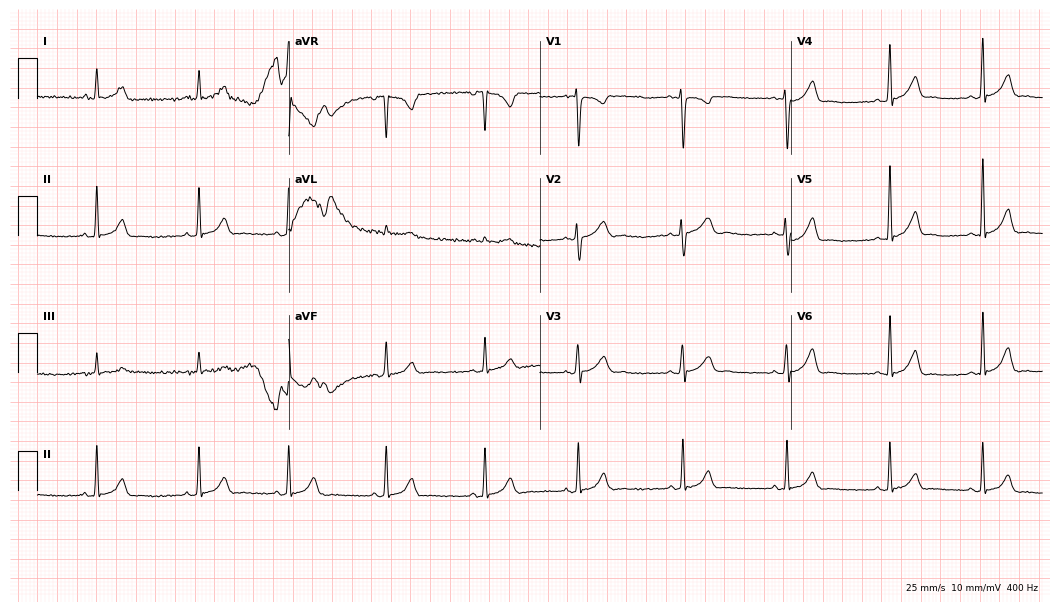
12-lead ECG from a 33-year-old female (10.2-second recording at 400 Hz). Recorded interpretation: within normal limits.